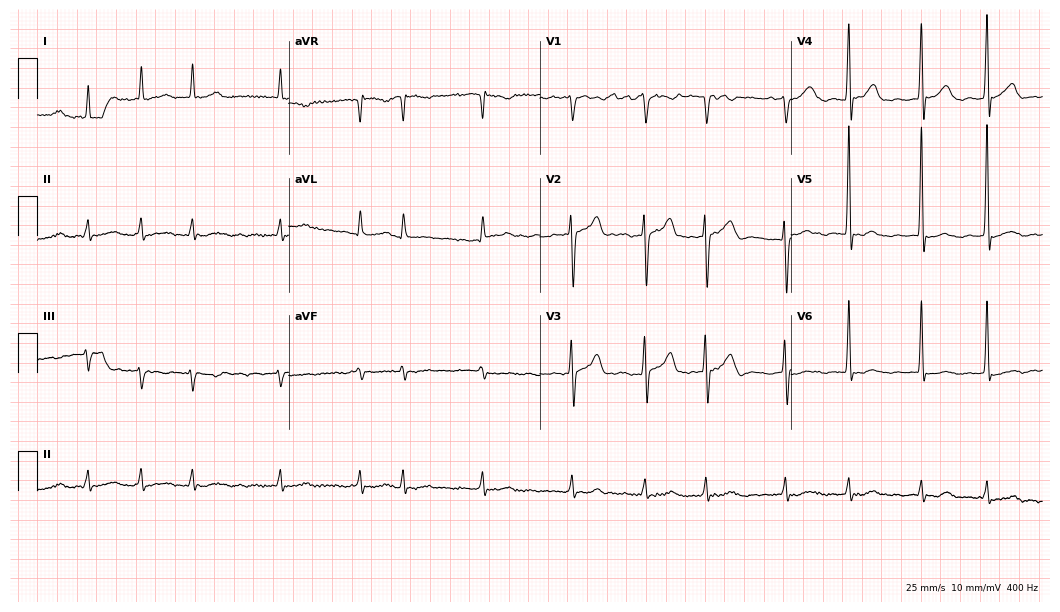
Electrocardiogram (10.2-second recording at 400 Hz), a male patient, 76 years old. Interpretation includes atrial fibrillation.